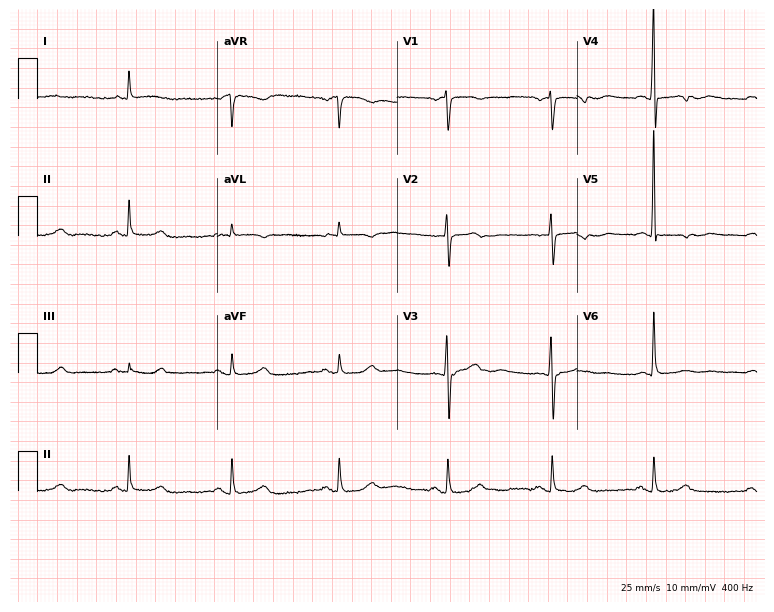
Resting 12-lead electrocardiogram. Patient: a 61-year-old female. Read as a normal ECG.